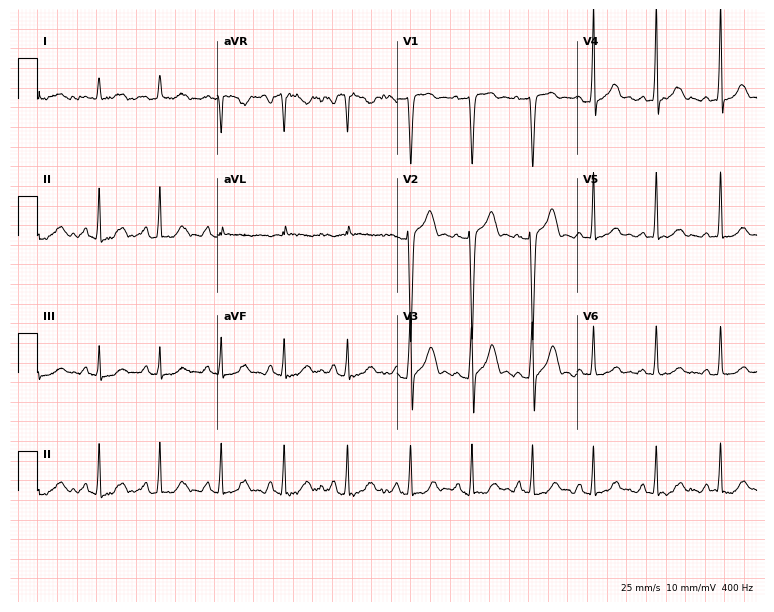
ECG (7.3-second recording at 400 Hz) — a male patient, 35 years old. Screened for six findings — first-degree AV block, right bundle branch block (RBBB), left bundle branch block (LBBB), sinus bradycardia, atrial fibrillation (AF), sinus tachycardia — none is recorded. Other findings, if any, are not listed.